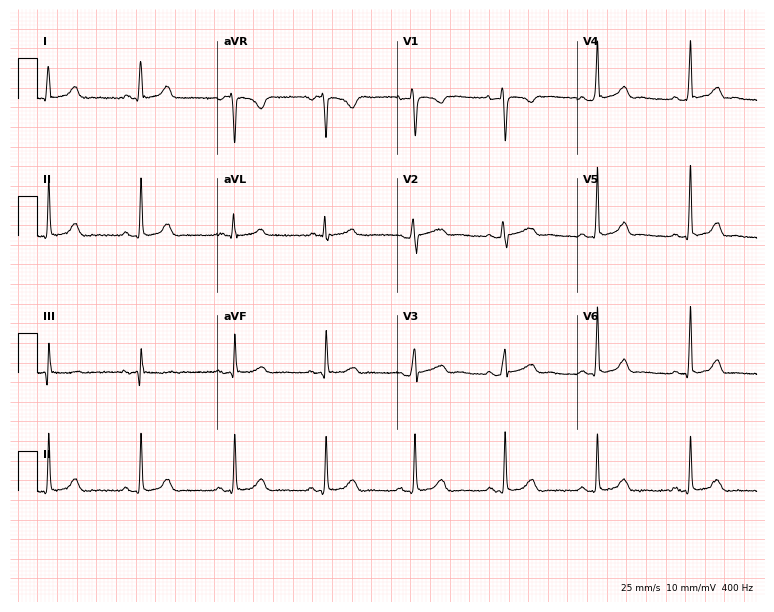
ECG — a female patient, 38 years old. Screened for six findings — first-degree AV block, right bundle branch block (RBBB), left bundle branch block (LBBB), sinus bradycardia, atrial fibrillation (AF), sinus tachycardia — none is recorded.